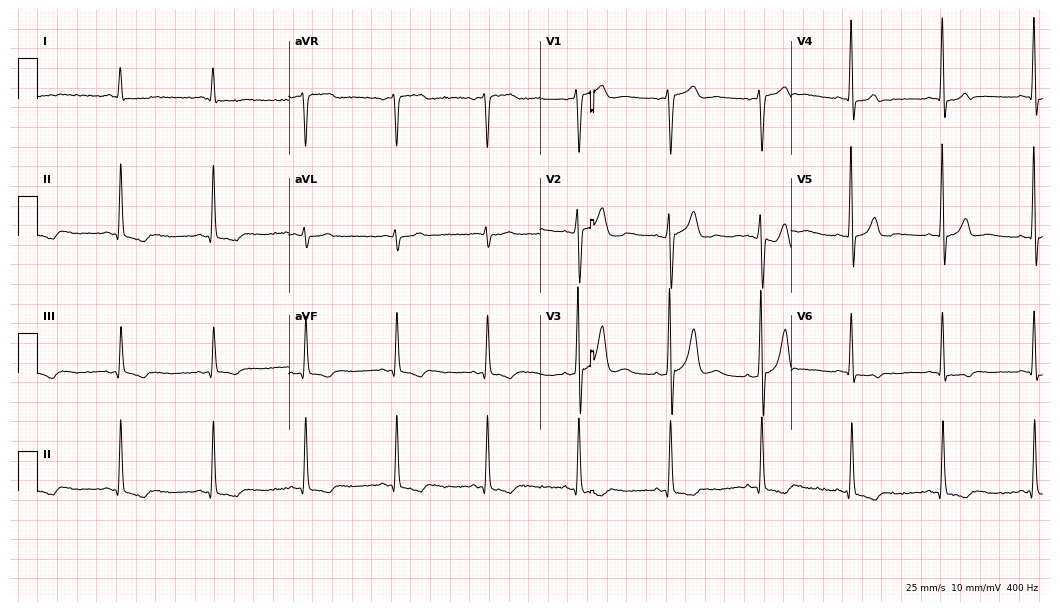
12-lead ECG from an 81-year-old male patient (10.2-second recording at 400 Hz). No first-degree AV block, right bundle branch block, left bundle branch block, sinus bradycardia, atrial fibrillation or sinus tachycardia recorded for this tracing.